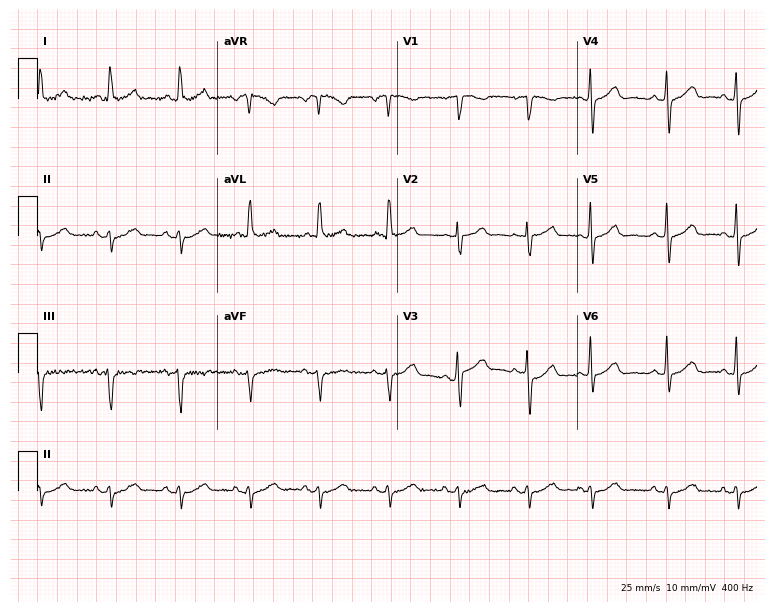
ECG — a female patient, 71 years old. Screened for six findings — first-degree AV block, right bundle branch block, left bundle branch block, sinus bradycardia, atrial fibrillation, sinus tachycardia — none is recorded. Only these six findings were labelled.